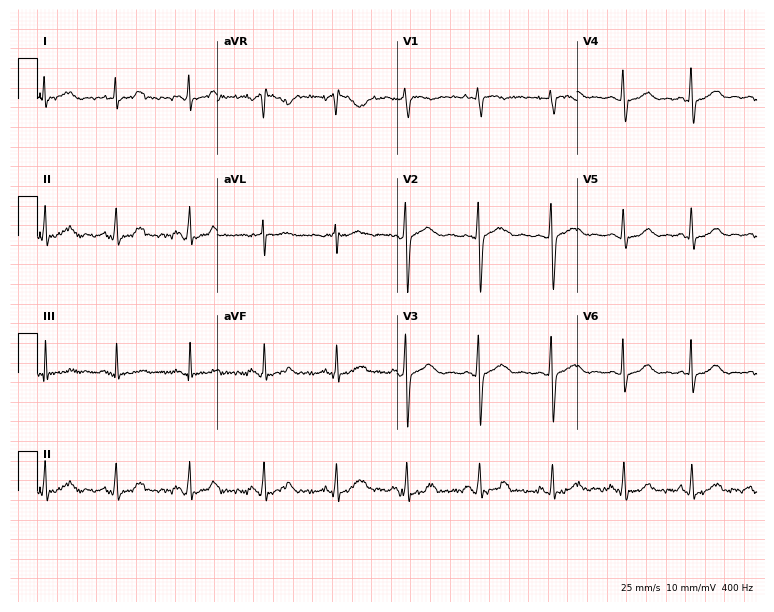
12-lead ECG from a 42-year-old woman. Recorded interpretation: within normal limits.